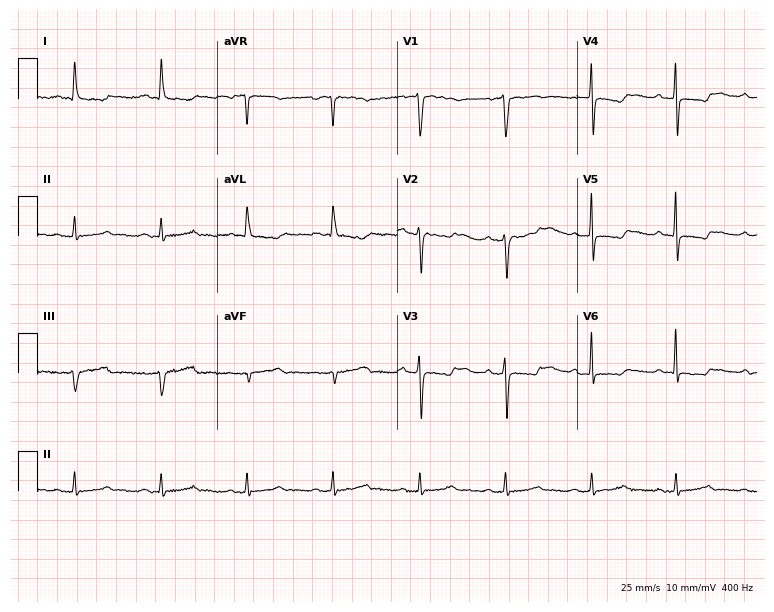
12-lead ECG from a male, 79 years old. No first-degree AV block, right bundle branch block (RBBB), left bundle branch block (LBBB), sinus bradycardia, atrial fibrillation (AF) or sinus tachycardia recorded for this tracing. Other findings, if any, are not listed.